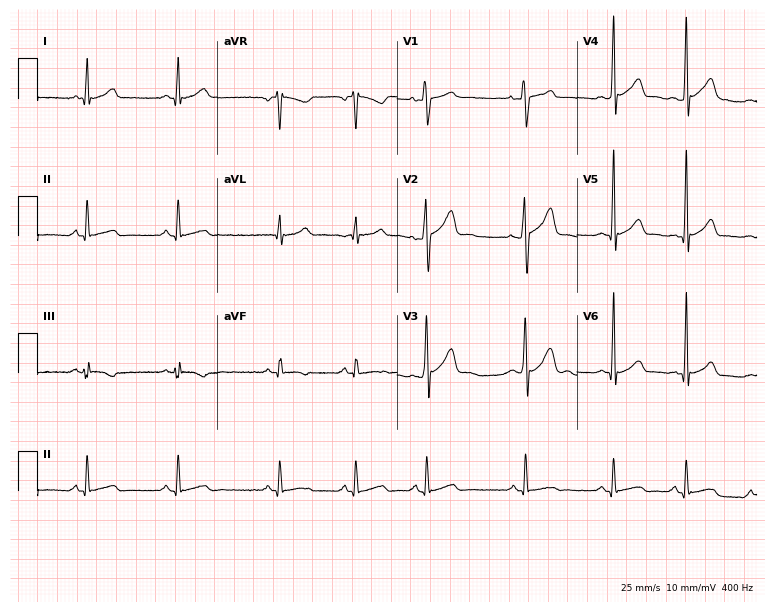
Standard 12-lead ECG recorded from a 23-year-old male (7.3-second recording at 400 Hz). None of these six findings is recorded: first-degree AV block, right bundle branch block, left bundle branch block, sinus bradycardia, atrial fibrillation, sinus tachycardia. Findings outside these six are not listed.